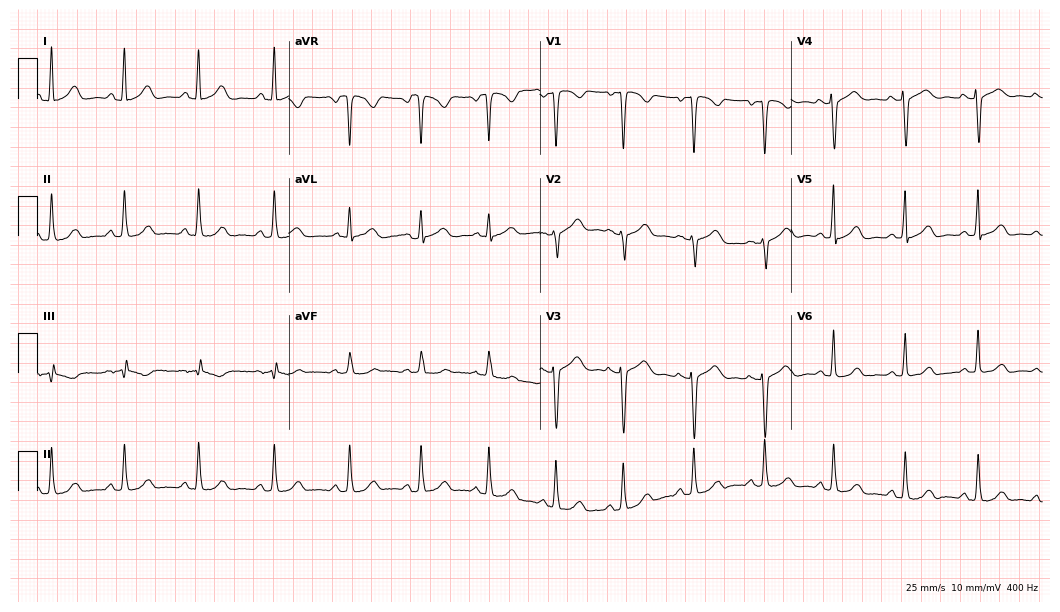
Standard 12-lead ECG recorded from a 37-year-old woman (10.2-second recording at 400 Hz). Read as a normal ECG.